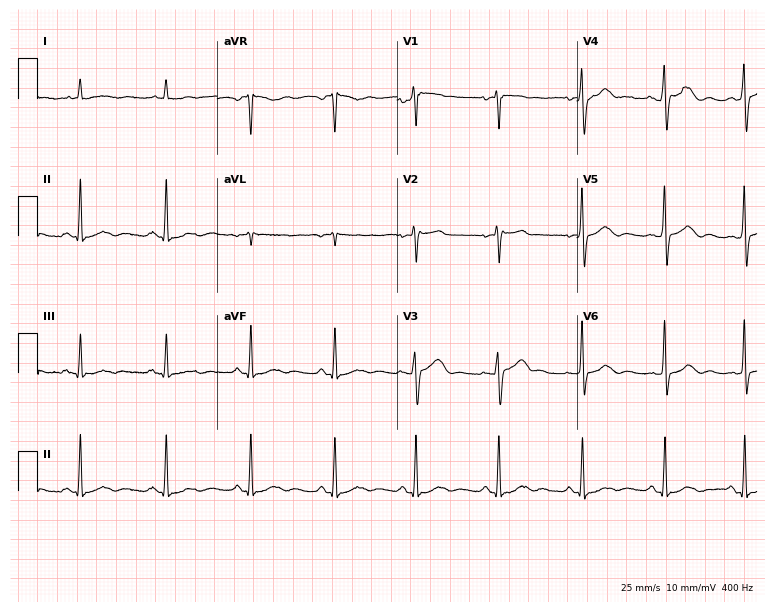
ECG (7.3-second recording at 400 Hz) — a man, 78 years old. Screened for six findings — first-degree AV block, right bundle branch block, left bundle branch block, sinus bradycardia, atrial fibrillation, sinus tachycardia — none is recorded. Only these six findings were labelled.